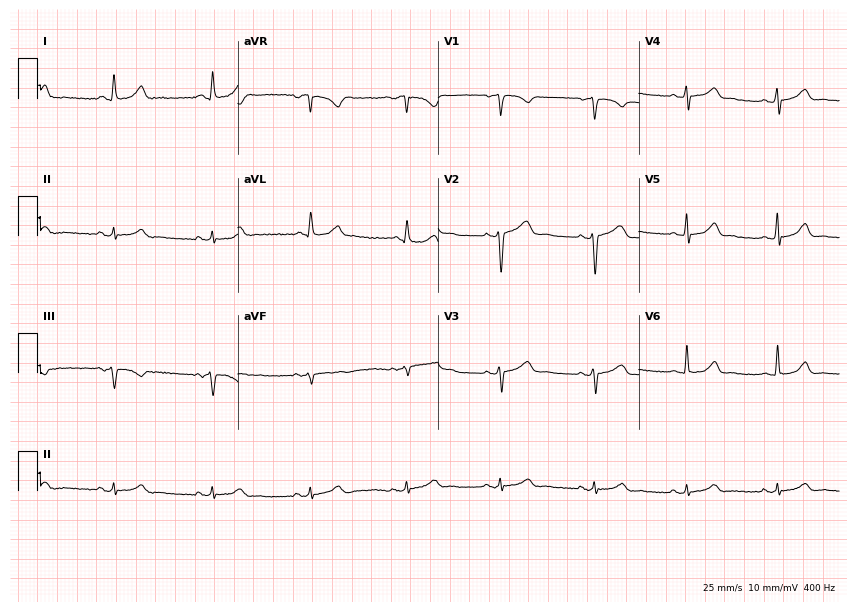
Resting 12-lead electrocardiogram (8.2-second recording at 400 Hz). Patient: a female, 38 years old. None of these six findings is recorded: first-degree AV block, right bundle branch block, left bundle branch block, sinus bradycardia, atrial fibrillation, sinus tachycardia. Findings outside these six are not listed.